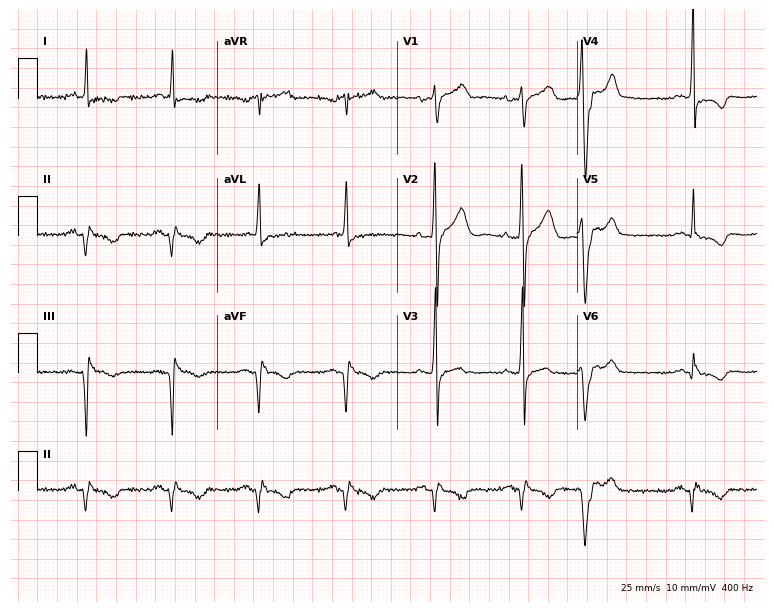
Resting 12-lead electrocardiogram. Patient: a 60-year-old female. None of these six findings is recorded: first-degree AV block, right bundle branch block (RBBB), left bundle branch block (LBBB), sinus bradycardia, atrial fibrillation (AF), sinus tachycardia. Findings outside these six are not listed.